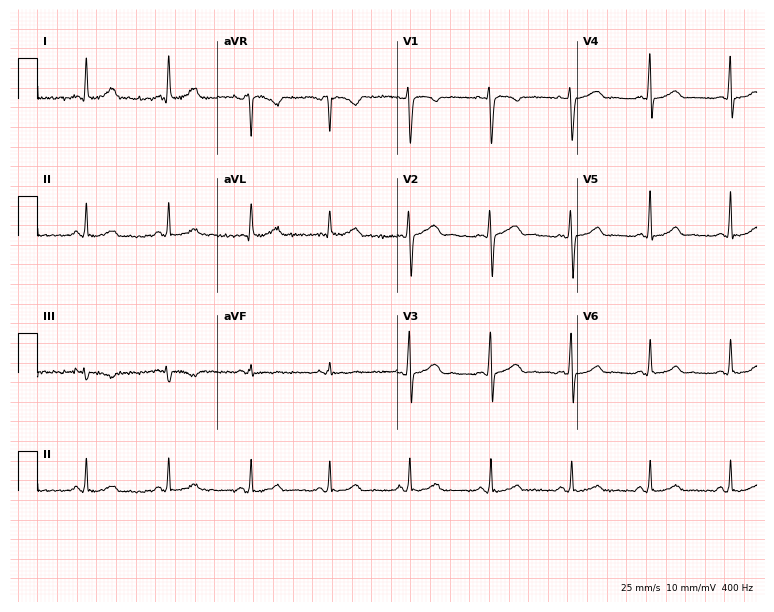
ECG — a 29-year-old woman. Labelled as a normal ECG.